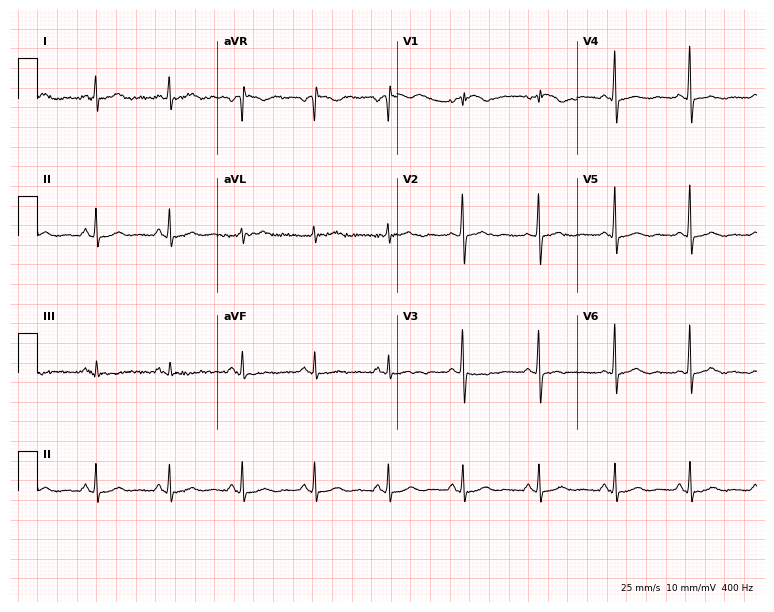
Electrocardiogram (7.3-second recording at 400 Hz), a female patient, 58 years old. Overall reading on record: normal ECG.